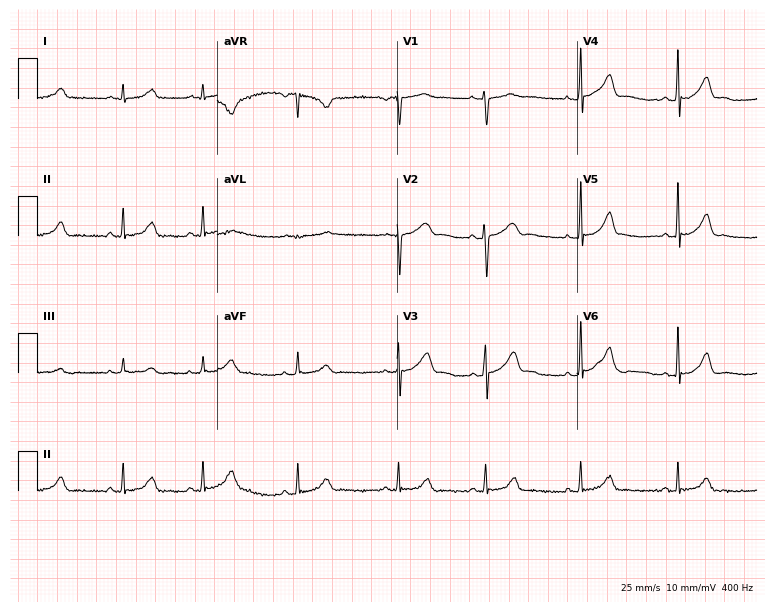
Standard 12-lead ECG recorded from a 27-year-old female patient. Read as a normal ECG.